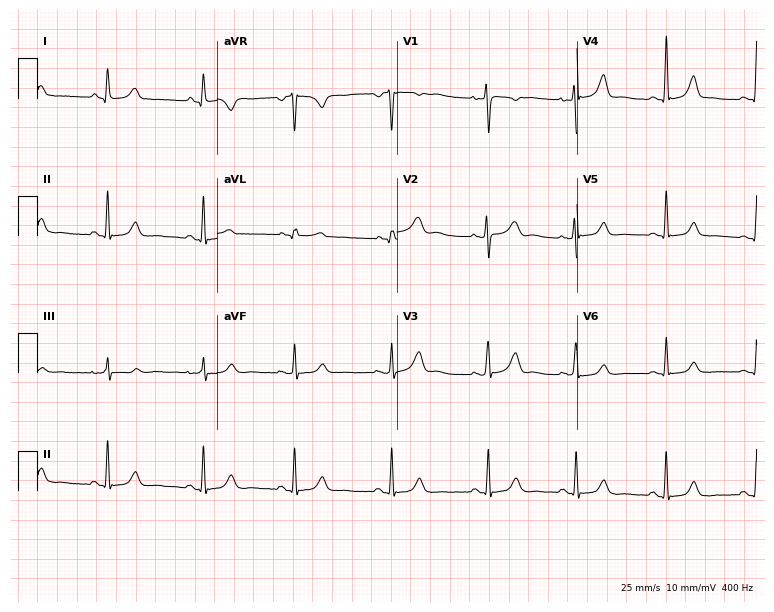
12-lead ECG from a woman, 33 years old (7.3-second recording at 400 Hz). No first-degree AV block, right bundle branch block, left bundle branch block, sinus bradycardia, atrial fibrillation or sinus tachycardia recorded for this tracing.